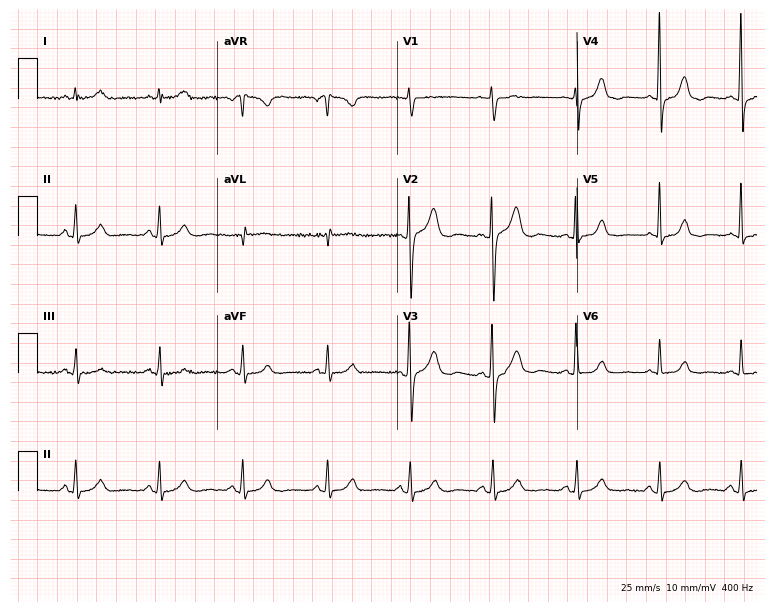
Electrocardiogram (7.3-second recording at 400 Hz), a woman, 53 years old. Of the six screened findings (first-degree AV block, right bundle branch block, left bundle branch block, sinus bradycardia, atrial fibrillation, sinus tachycardia), none is recorded. Only these six findings were labelled.